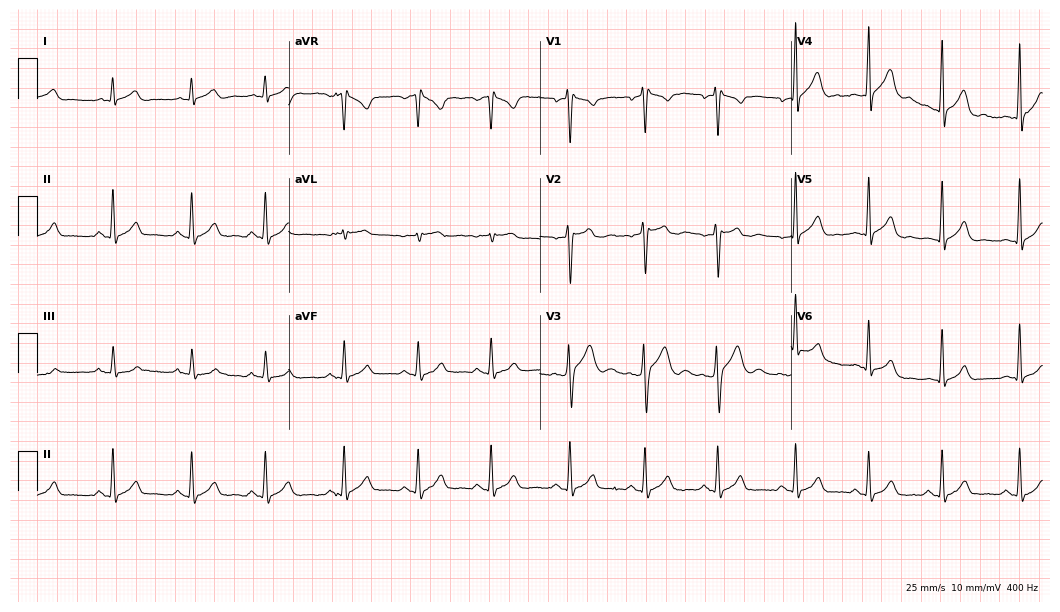
ECG (10.2-second recording at 400 Hz) — a 25-year-old male patient. Screened for six findings — first-degree AV block, right bundle branch block, left bundle branch block, sinus bradycardia, atrial fibrillation, sinus tachycardia — none is recorded.